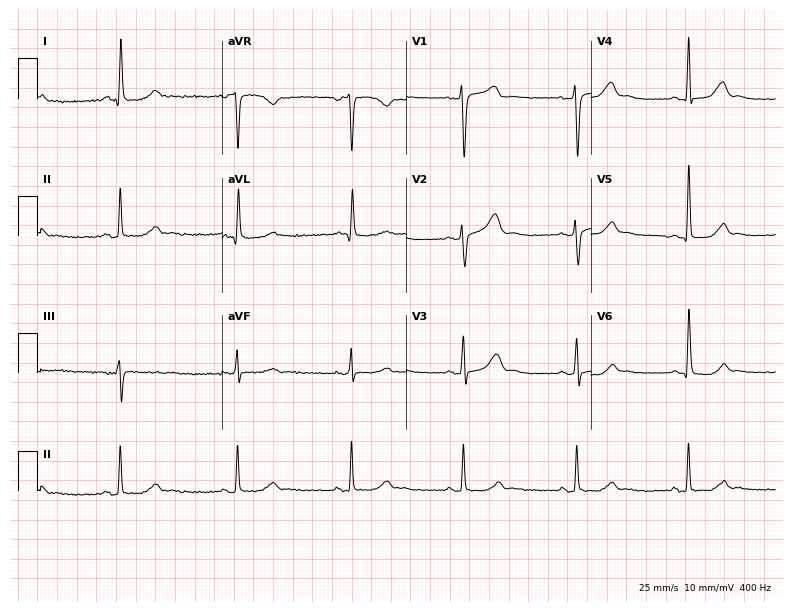
12-lead ECG from a 52-year-old female patient. Screened for six findings — first-degree AV block, right bundle branch block, left bundle branch block, sinus bradycardia, atrial fibrillation, sinus tachycardia — none is recorded.